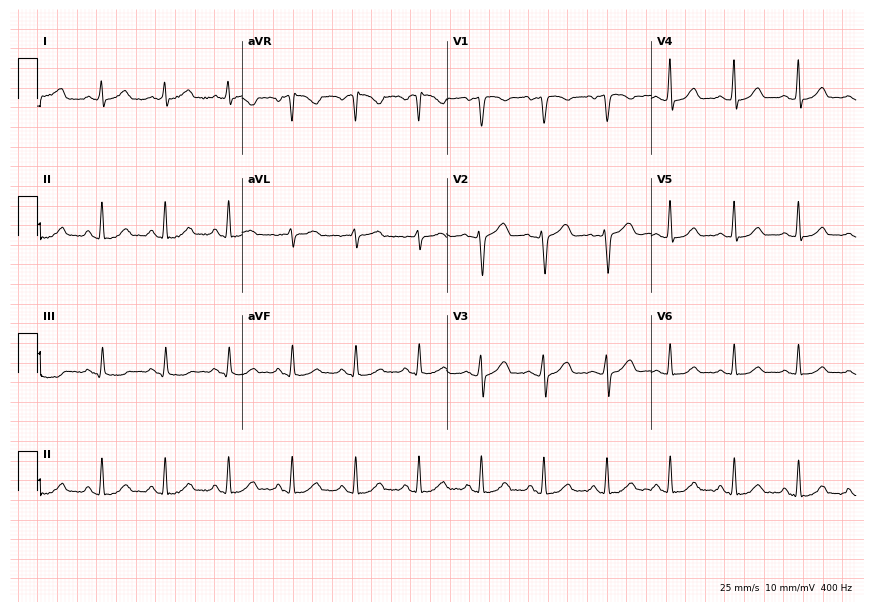
Standard 12-lead ECG recorded from a 40-year-old female. Read as a normal ECG.